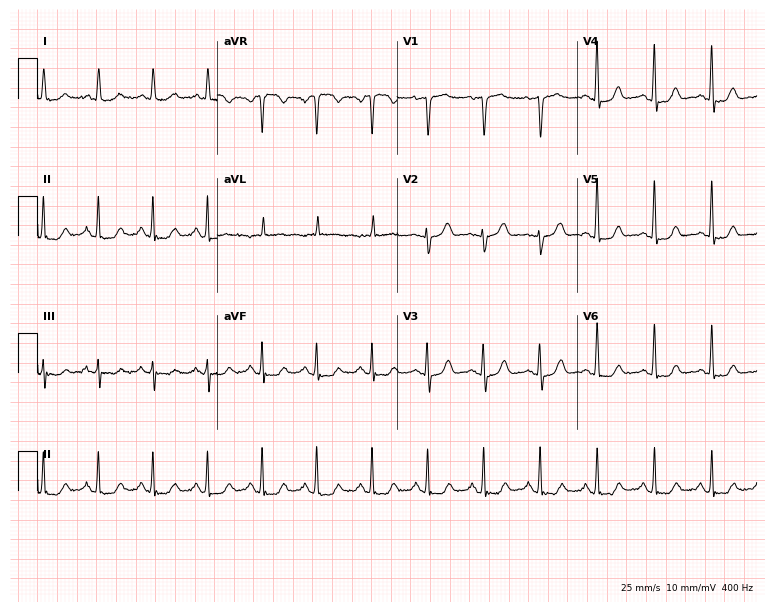
Resting 12-lead electrocardiogram (7.3-second recording at 400 Hz). Patient: a 64-year-old woman. The tracing shows sinus tachycardia (a sinus rate of 100 beats per minute or more).